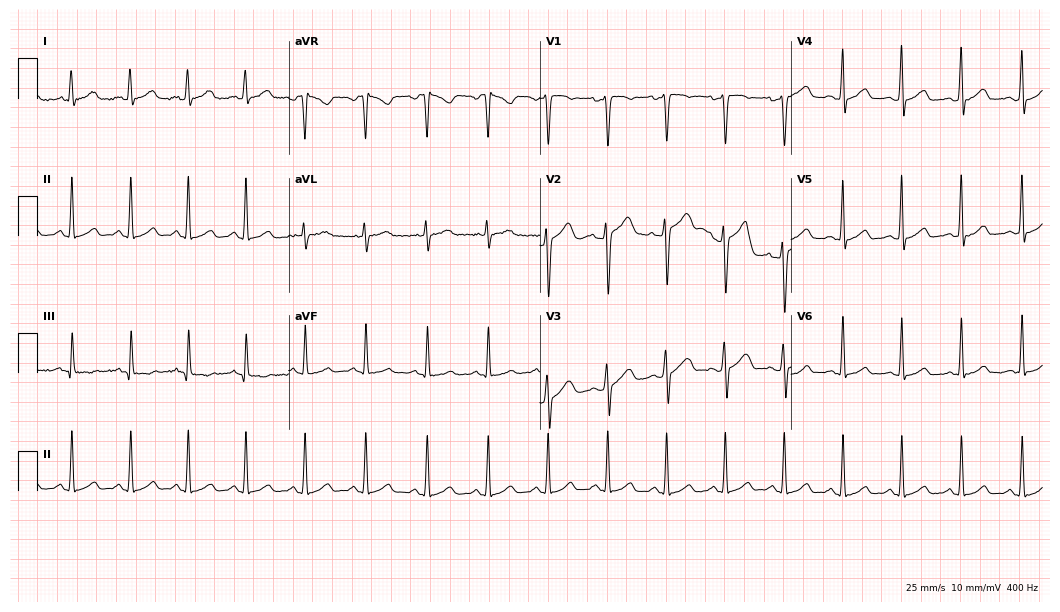
Resting 12-lead electrocardiogram (10.2-second recording at 400 Hz). Patient: a 27-year-old female. None of these six findings is recorded: first-degree AV block, right bundle branch block (RBBB), left bundle branch block (LBBB), sinus bradycardia, atrial fibrillation (AF), sinus tachycardia. Findings outside these six are not listed.